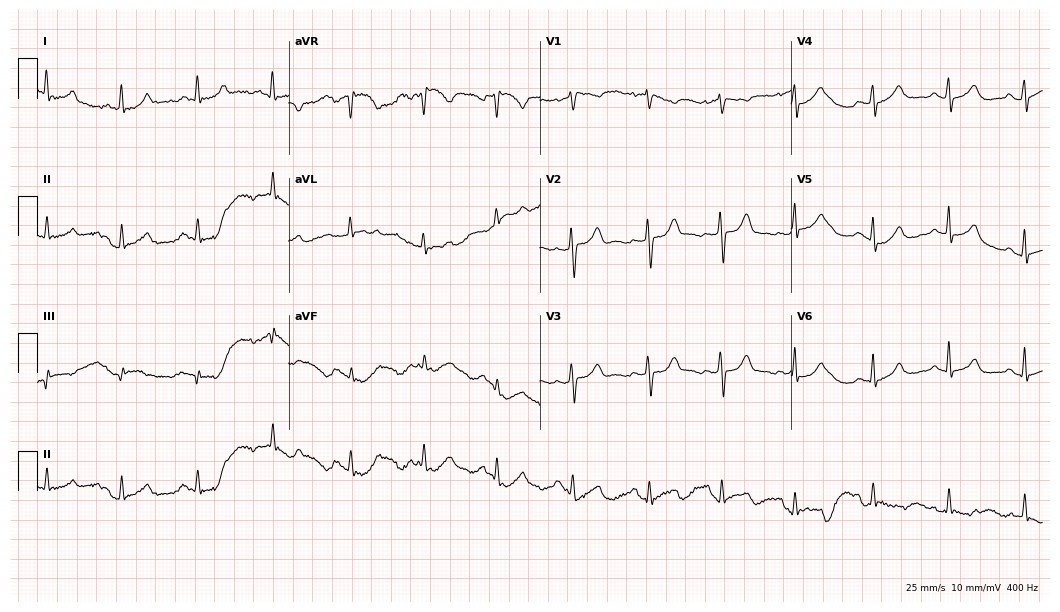
Standard 12-lead ECG recorded from a woman, 39 years old (10.2-second recording at 400 Hz). None of these six findings is recorded: first-degree AV block, right bundle branch block (RBBB), left bundle branch block (LBBB), sinus bradycardia, atrial fibrillation (AF), sinus tachycardia.